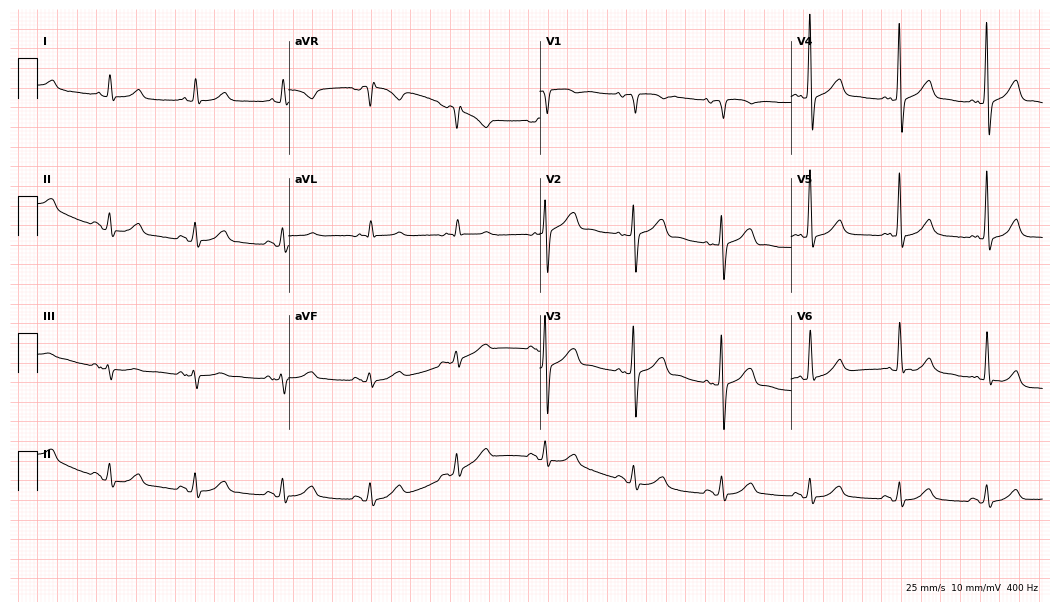
Standard 12-lead ECG recorded from a woman, 71 years old (10.2-second recording at 400 Hz). Read as a normal ECG.